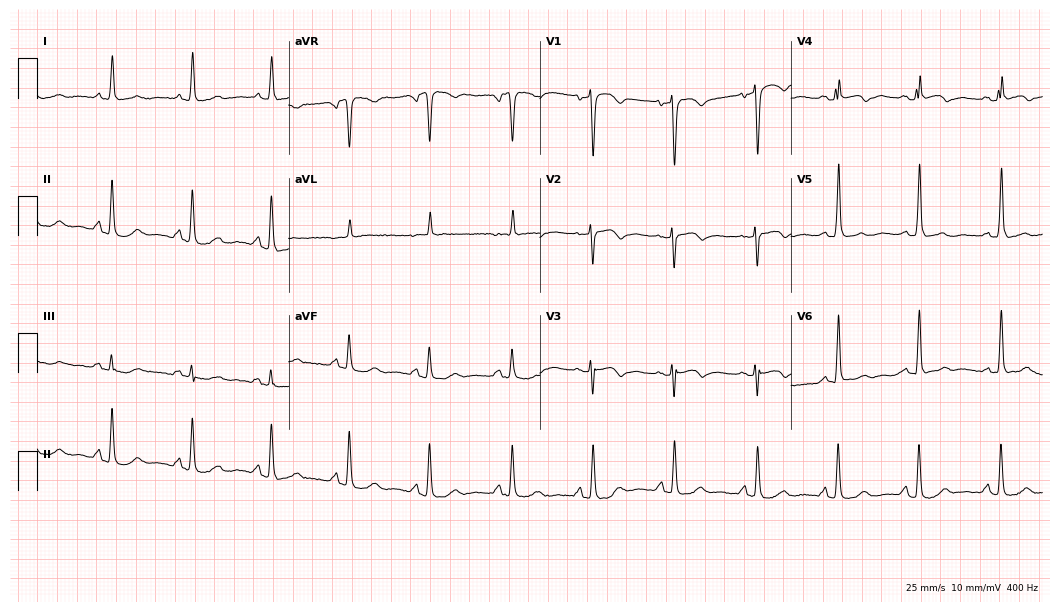
Standard 12-lead ECG recorded from a female patient, 80 years old. None of these six findings is recorded: first-degree AV block, right bundle branch block, left bundle branch block, sinus bradycardia, atrial fibrillation, sinus tachycardia. Other findings, if any, are not listed.